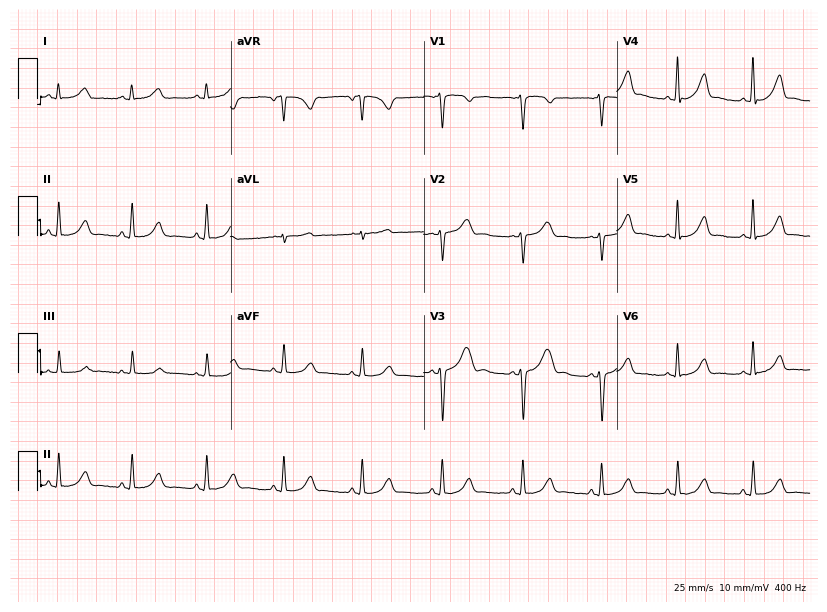
12-lead ECG from a 38-year-old female patient. Labelled as a normal ECG.